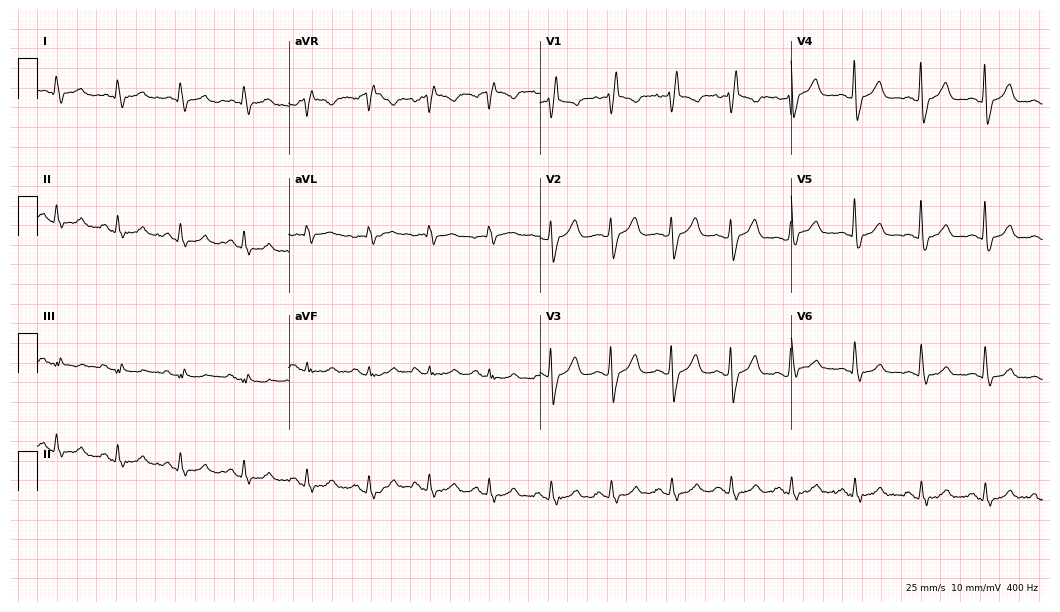
Standard 12-lead ECG recorded from a 72-year-old male patient (10.2-second recording at 400 Hz). The tracing shows right bundle branch block.